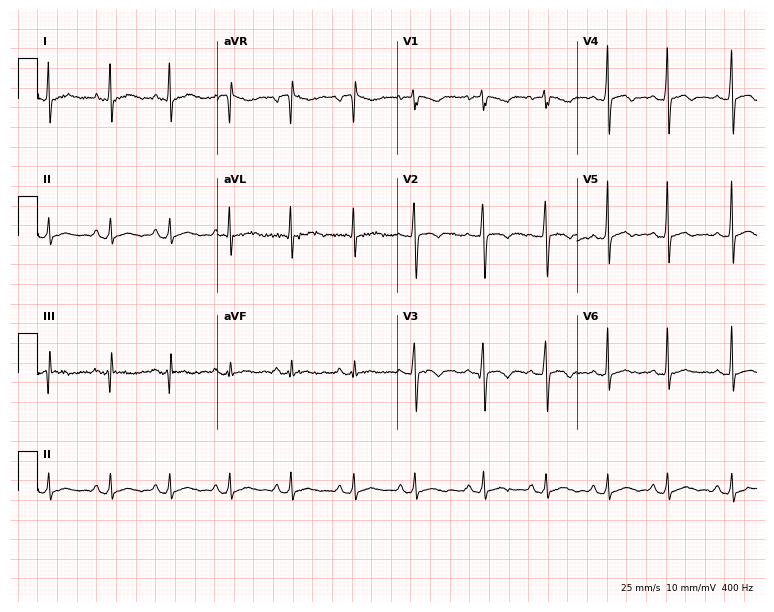
Standard 12-lead ECG recorded from a 20-year-old female patient (7.3-second recording at 400 Hz). None of these six findings is recorded: first-degree AV block, right bundle branch block, left bundle branch block, sinus bradycardia, atrial fibrillation, sinus tachycardia.